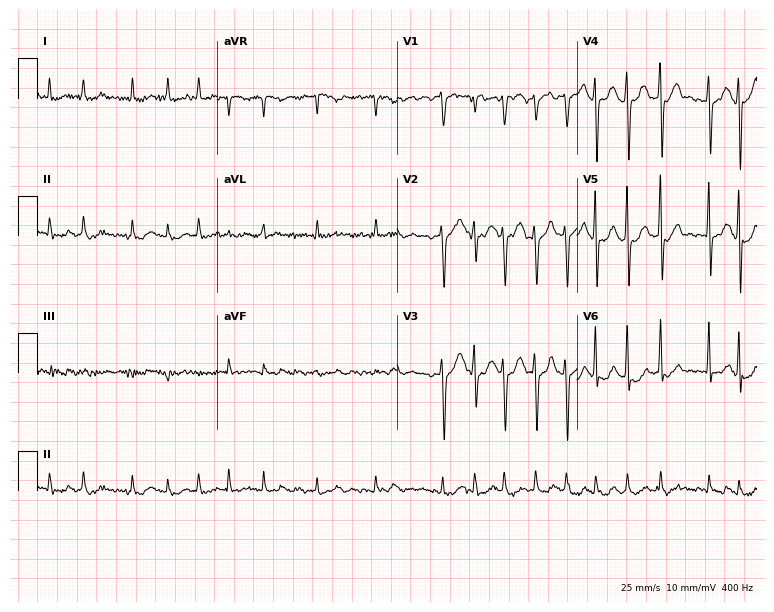
12-lead ECG from a man, 79 years old. Shows atrial fibrillation.